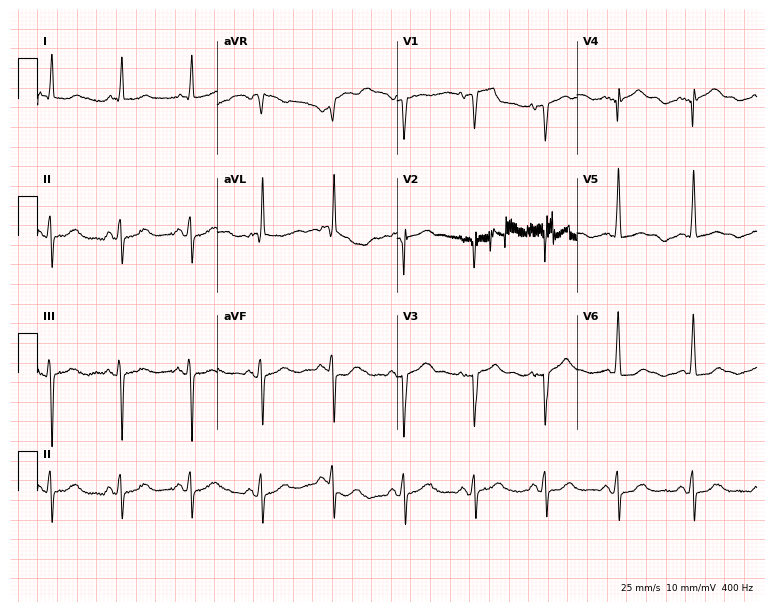
12-lead ECG from a female patient, 79 years old. Screened for six findings — first-degree AV block, right bundle branch block, left bundle branch block, sinus bradycardia, atrial fibrillation, sinus tachycardia — none is recorded. Findings outside these six are not listed.